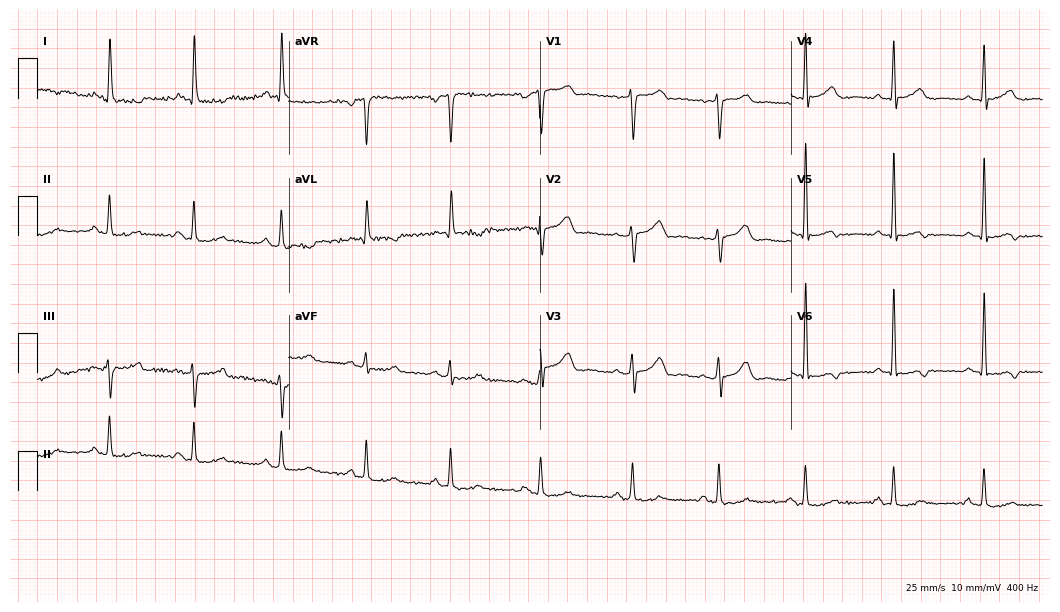
Resting 12-lead electrocardiogram (10.2-second recording at 400 Hz). Patient: a female, 57 years old. None of these six findings is recorded: first-degree AV block, right bundle branch block, left bundle branch block, sinus bradycardia, atrial fibrillation, sinus tachycardia.